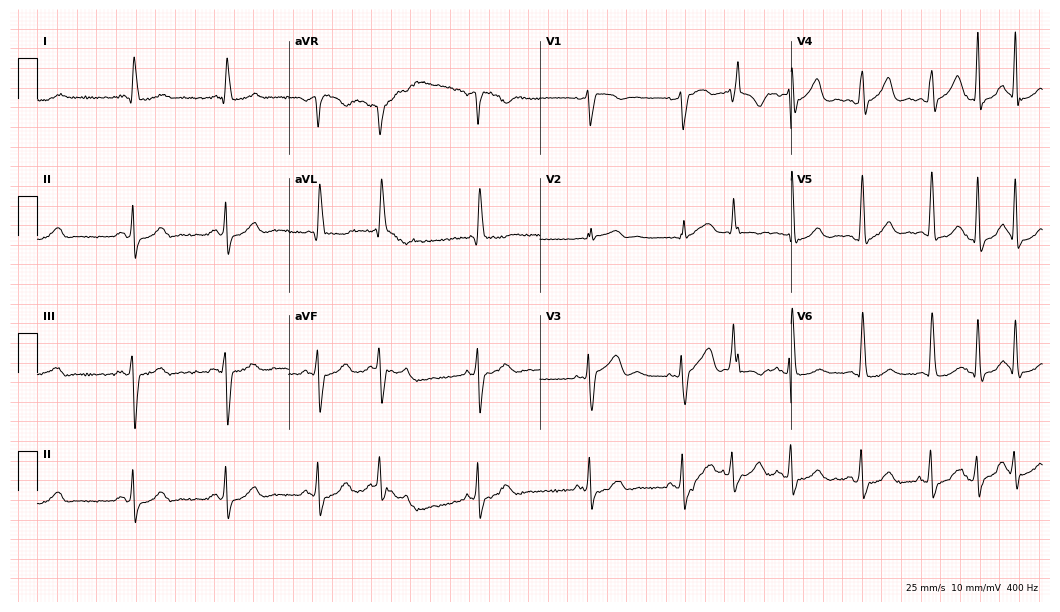
Resting 12-lead electrocardiogram (10.2-second recording at 400 Hz). Patient: a 70-year-old male. None of these six findings is recorded: first-degree AV block, right bundle branch block, left bundle branch block, sinus bradycardia, atrial fibrillation, sinus tachycardia. Only these six findings were labelled.